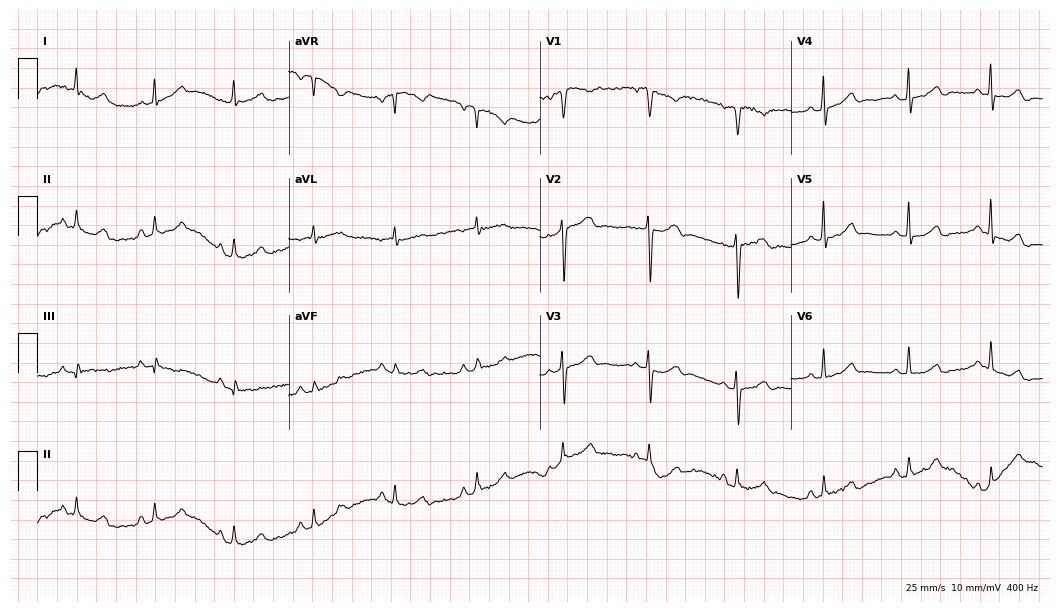
12-lead ECG (10.2-second recording at 400 Hz) from a 69-year-old female patient. Screened for six findings — first-degree AV block, right bundle branch block, left bundle branch block, sinus bradycardia, atrial fibrillation, sinus tachycardia — none is recorded.